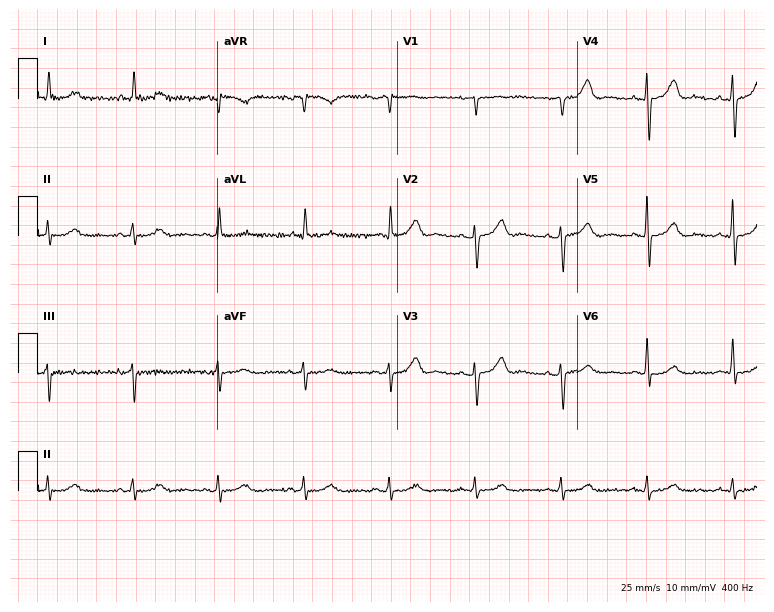
12-lead ECG from a 78-year-old male patient. Screened for six findings — first-degree AV block, right bundle branch block, left bundle branch block, sinus bradycardia, atrial fibrillation, sinus tachycardia — none is recorded. Findings outside these six are not listed.